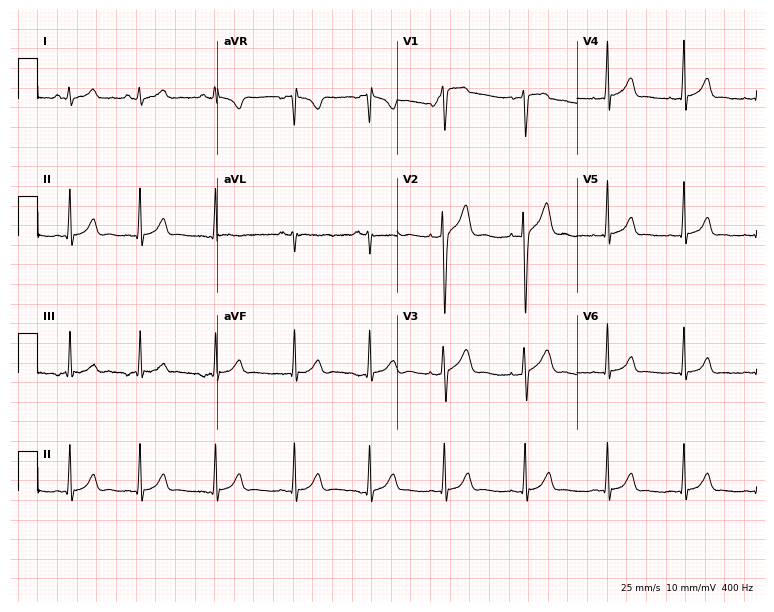
12-lead ECG from a female, 20 years old. Labelled as a normal ECG.